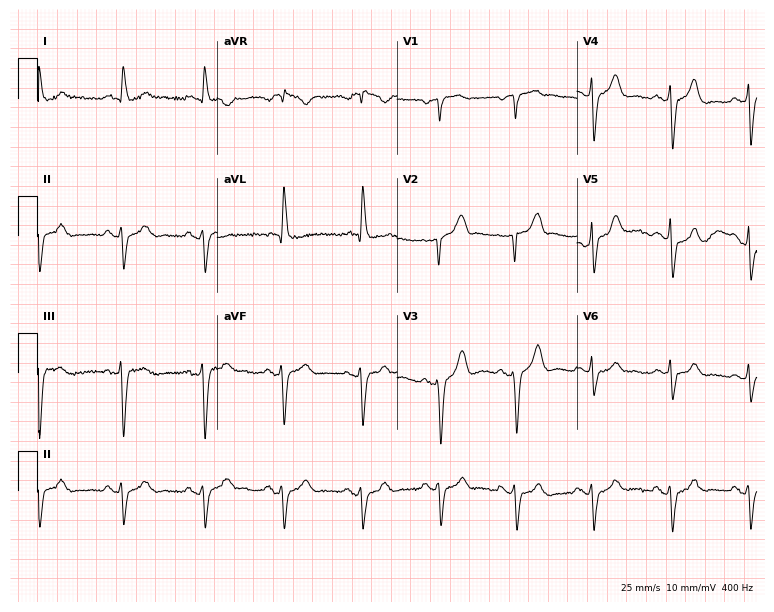
12-lead ECG from a 69-year-old man. Screened for six findings — first-degree AV block, right bundle branch block, left bundle branch block, sinus bradycardia, atrial fibrillation, sinus tachycardia — none is recorded. Findings outside these six are not listed.